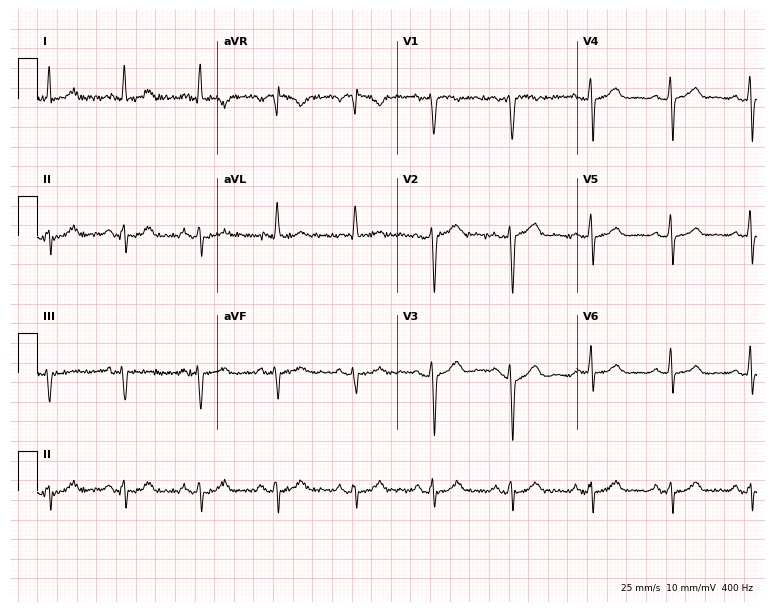
Resting 12-lead electrocardiogram (7.3-second recording at 400 Hz). Patient: a female, 58 years old. None of these six findings is recorded: first-degree AV block, right bundle branch block, left bundle branch block, sinus bradycardia, atrial fibrillation, sinus tachycardia. Other findings, if any, are not listed.